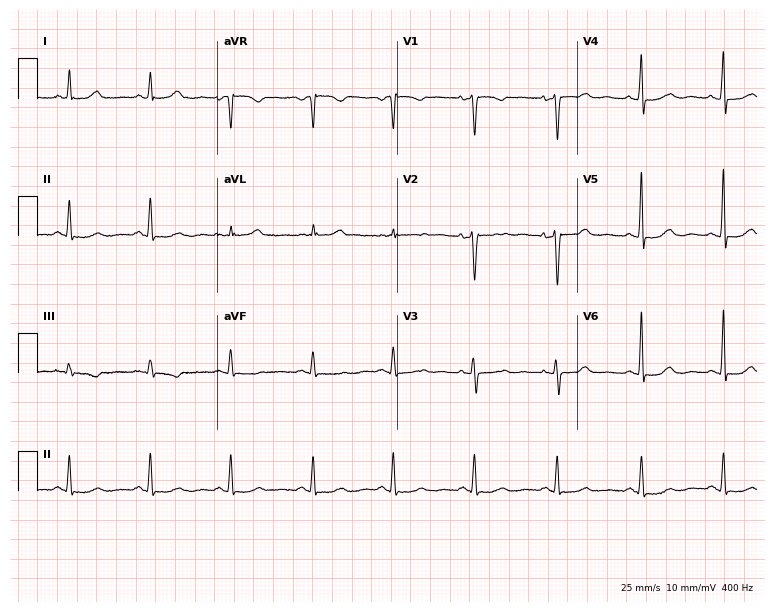
Resting 12-lead electrocardiogram. Patient: a 60-year-old female. Read as a normal ECG.